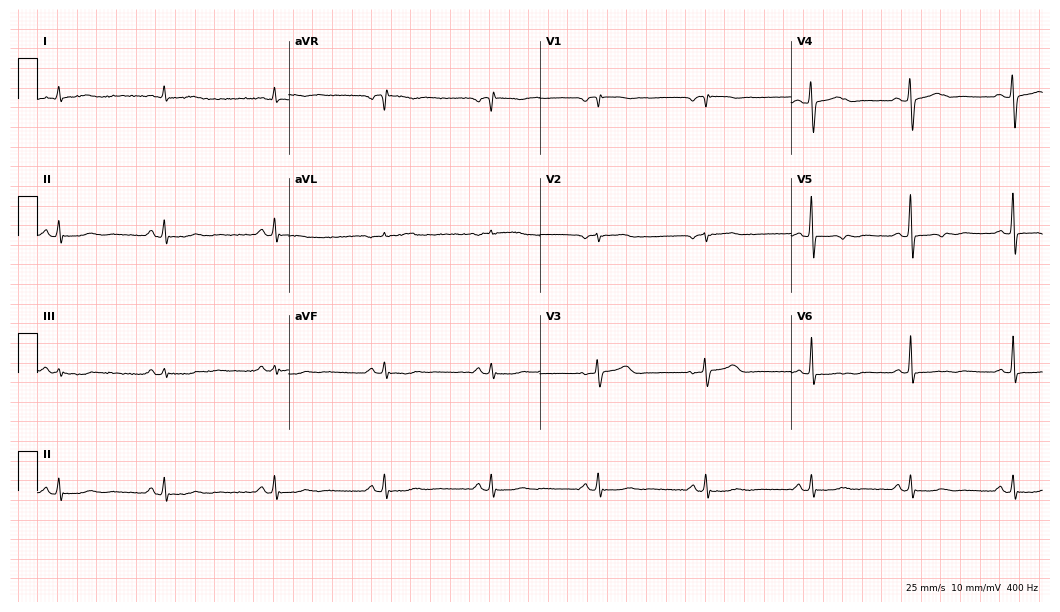
ECG (10.2-second recording at 400 Hz) — a female patient, 67 years old. Screened for six findings — first-degree AV block, right bundle branch block (RBBB), left bundle branch block (LBBB), sinus bradycardia, atrial fibrillation (AF), sinus tachycardia — none is recorded. Findings outside these six are not listed.